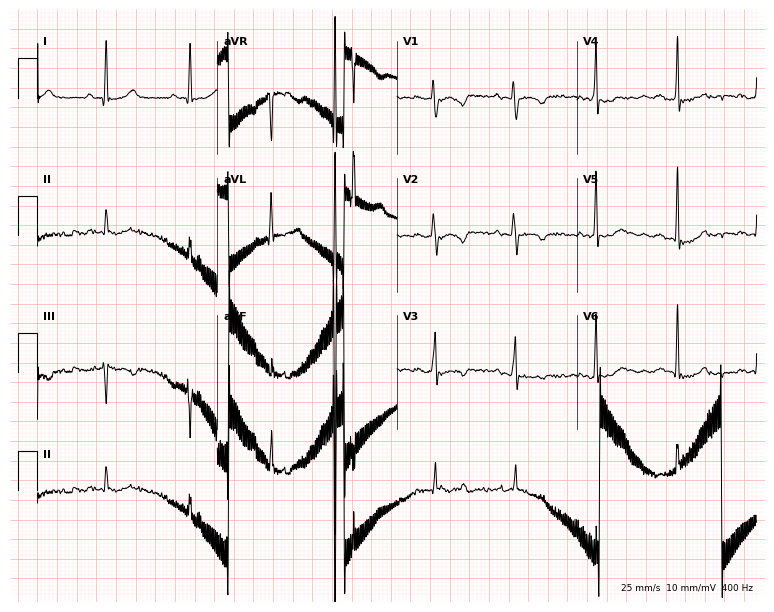
Electrocardiogram (7.3-second recording at 400 Hz), a 42-year-old female patient. Of the six screened findings (first-degree AV block, right bundle branch block (RBBB), left bundle branch block (LBBB), sinus bradycardia, atrial fibrillation (AF), sinus tachycardia), none is recorded. Other findings, if any, are not listed.